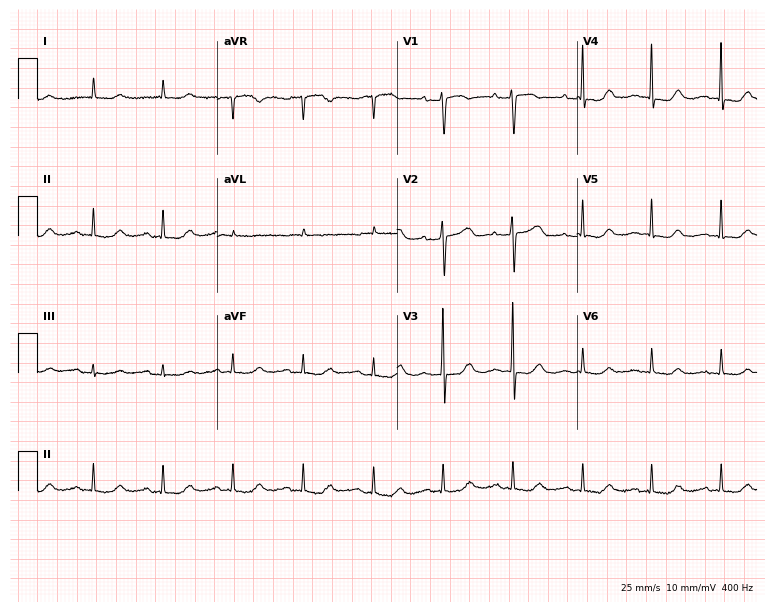
Standard 12-lead ECG recorded from an 85-year-old female. None of these six findings is recorded: first-degree AV block, right bundle branch block, left bundle branch block, sinus bradycardia, atrial fibrillation, sinus tachycardia.